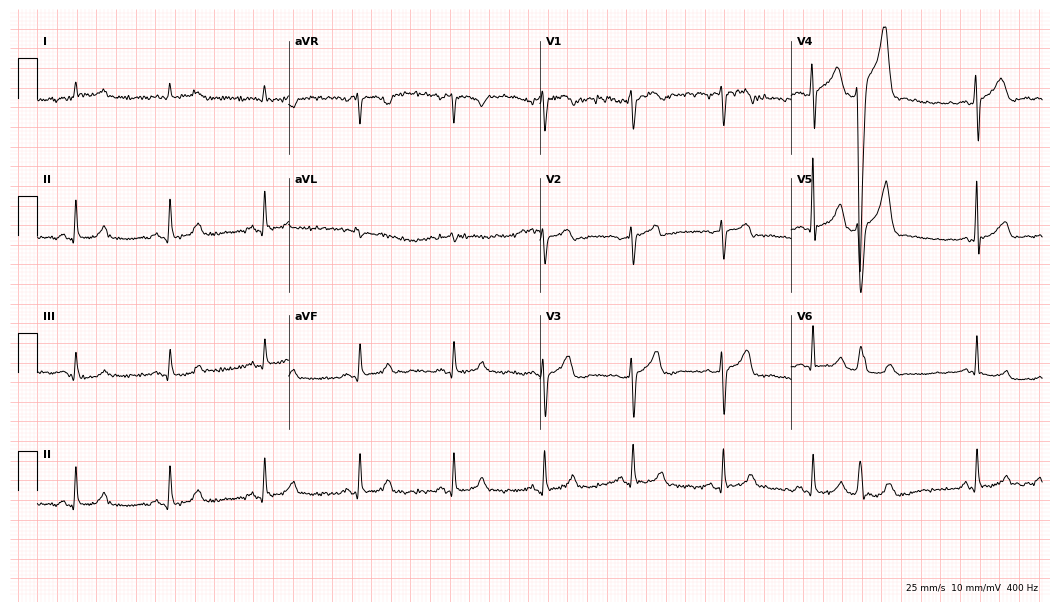
Resting 12-lead electrocardiogram (10.2-second recording at 400 Hz). Patient: a male, 55 years old. Read as a normal ECG.